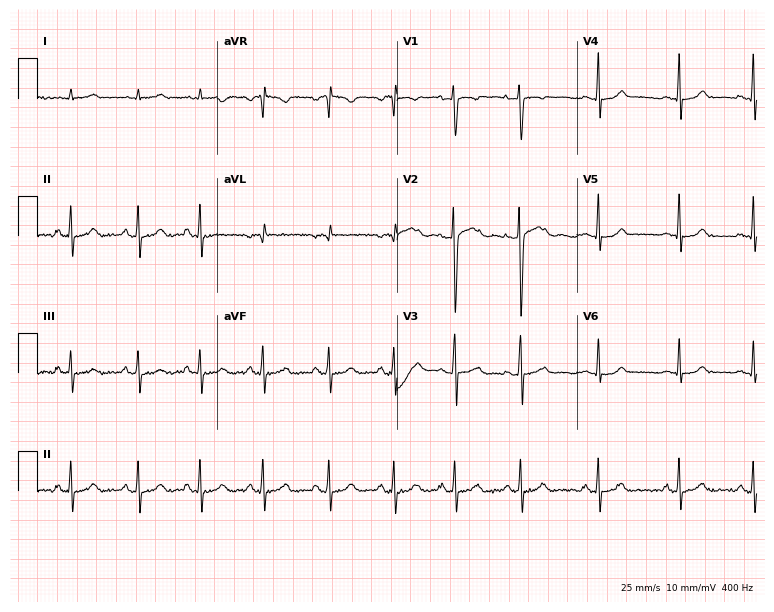
12-lead ECG from a 21-year-old female patient (7.3-second recording at 400 Hz). No first-degree AV block, right bundle branch block (RBBB), left bundle branch block (LBBB), sinus bradycardia, atrial fibrillation (AF) or sinus tachycardia recorded for this tracing. Findings outside these six are not listed.